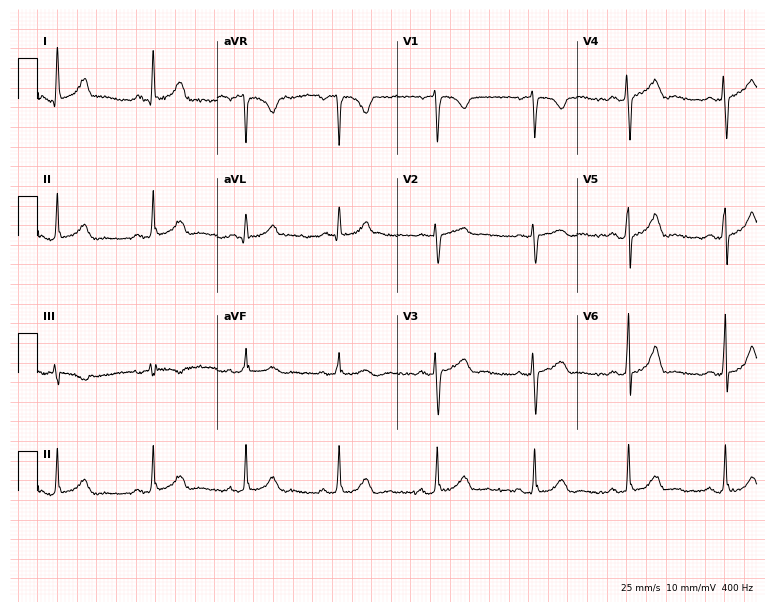
12-lead ECG from a female patient, 35 years old. Recorded interpretation: within normal limits.